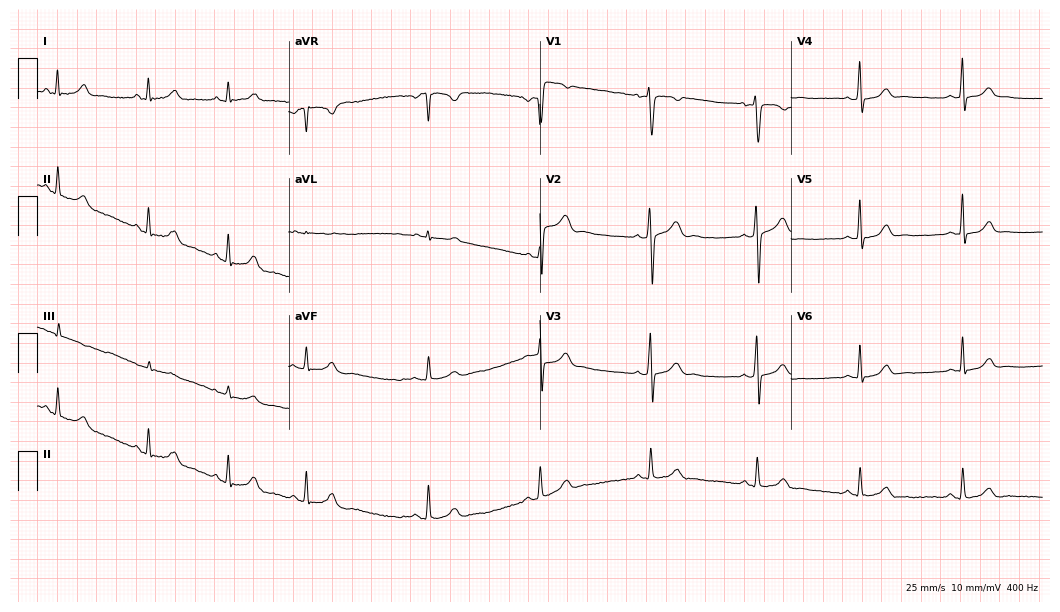
Standard 12-lead ECG recorded from a 23-year-old female patient (10.2-second recording at 400 Hz). Read as a normal ECG.